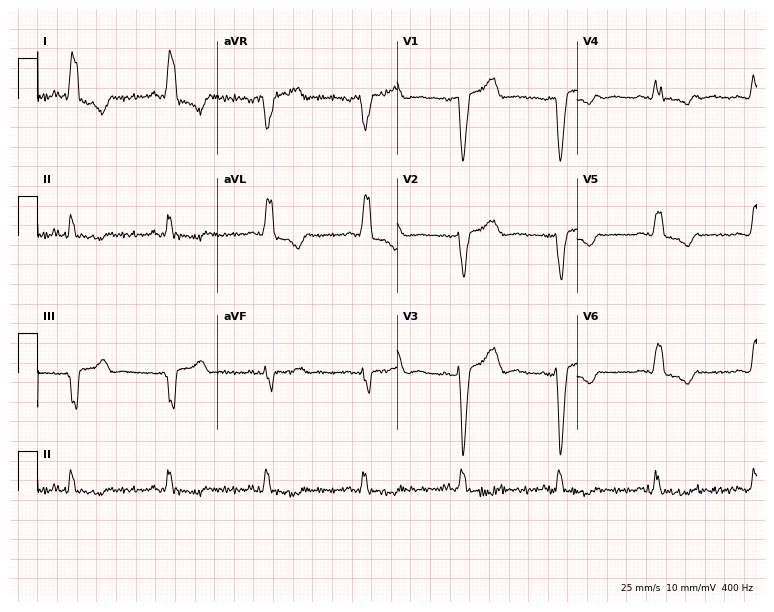
ECG (7.3-second recording at 400 Hz) — a woman, 83 years old. Findings include left bundle branch block.